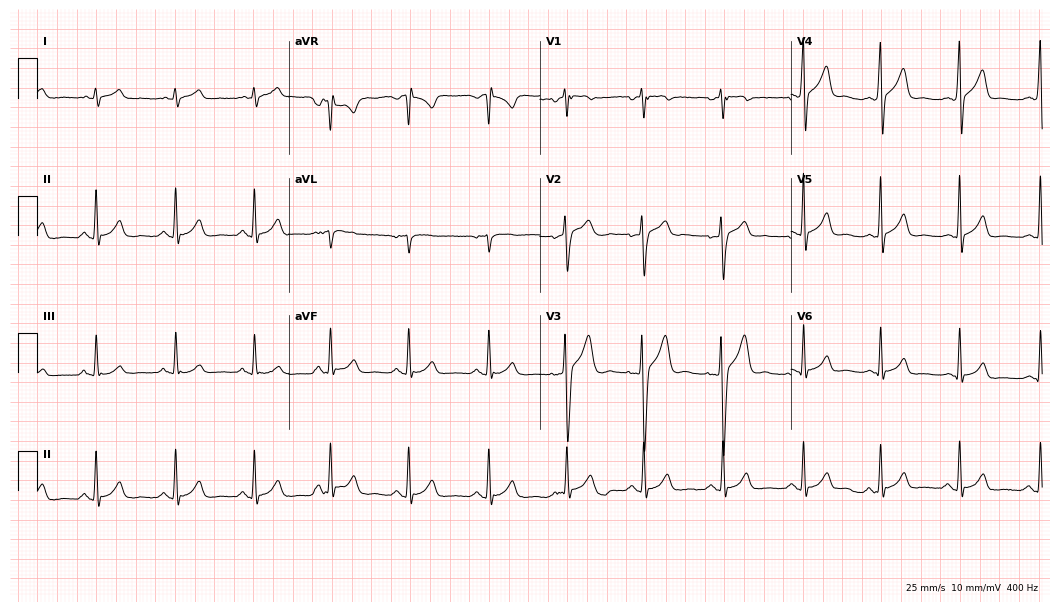
Resting 12-lead electrocardiogram (10.2-second recording at 400 Hz). Patient: a male, 23 years old. Read as a normal ECG.